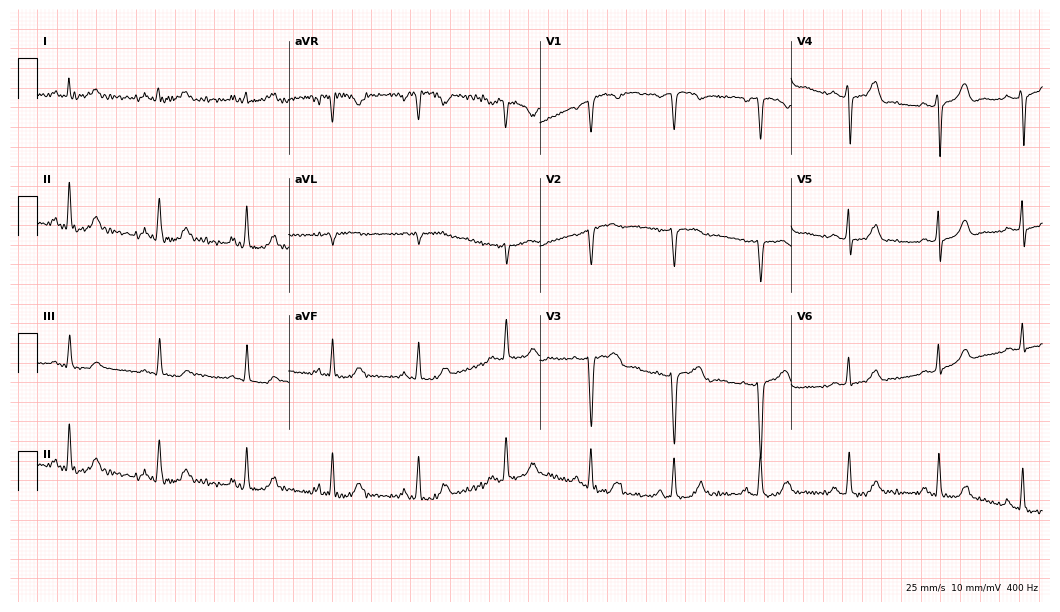
12-lead ECG from a 48-year-old female patient. Recorded interpretation: within normal limits.